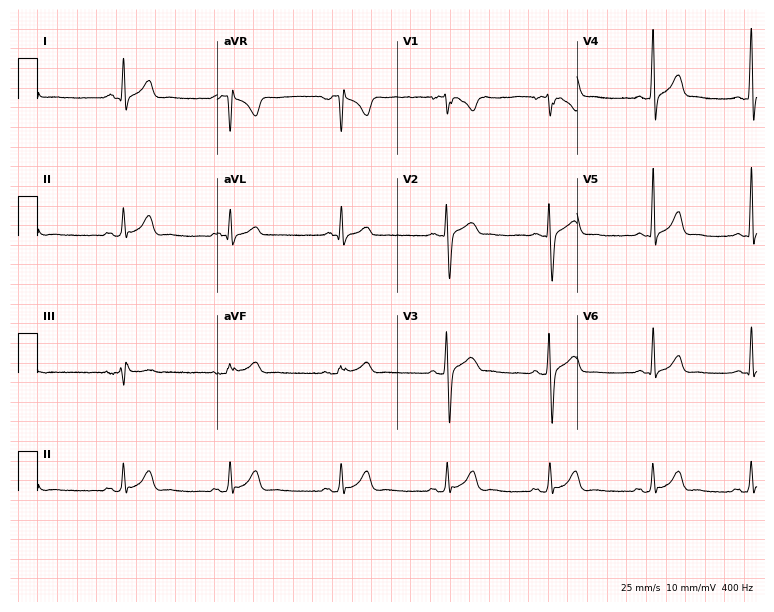
Electrocardiogram (7.3-second recording at 400 Hz), a 19-year-old male patient. Overall reading on record: normal ECG.